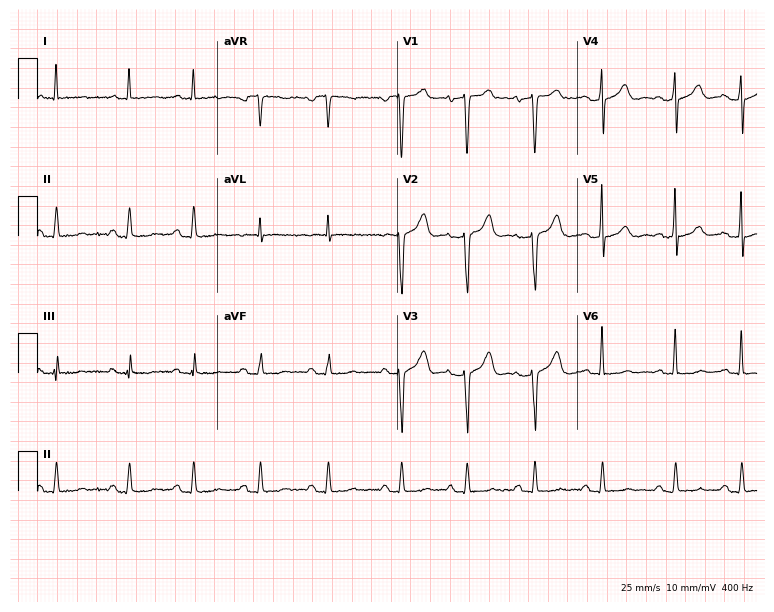
12-lead ECG (7.3-second recording at 400 Hz) from a female patient, 73 years old. Screened for six findings — first-degree AV block, right bundle branch block, left bundle branch block, sinus bradycardia, atrial fibrillation, sinus tachycardia — none is recorded.